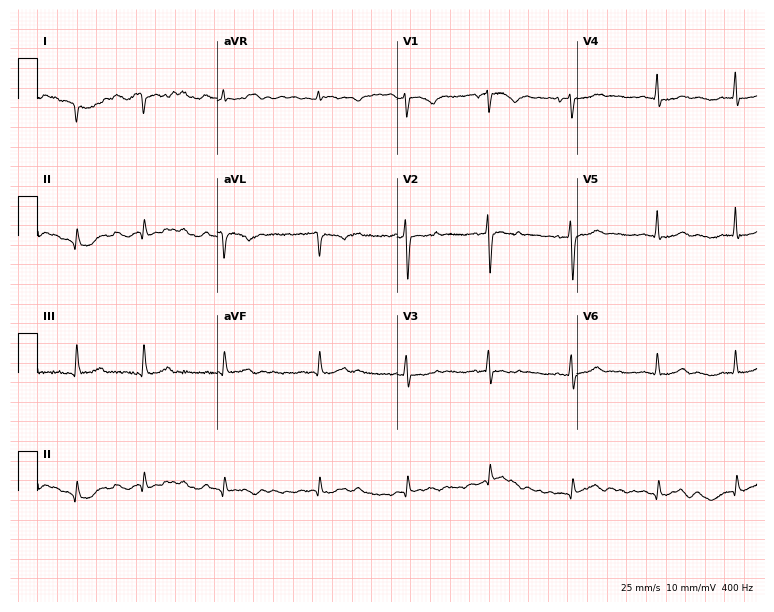
Electrocardiogram, a female patient, 59 years old. Of the six screened findings (first-degree AV block, right bundle branch block (RBBB), left bundle branch block (LBBB), sinus bradycardia, atrial fibrillation (AF), sinus tachycardia), none is recorded. Other findings, if any, are not listed.